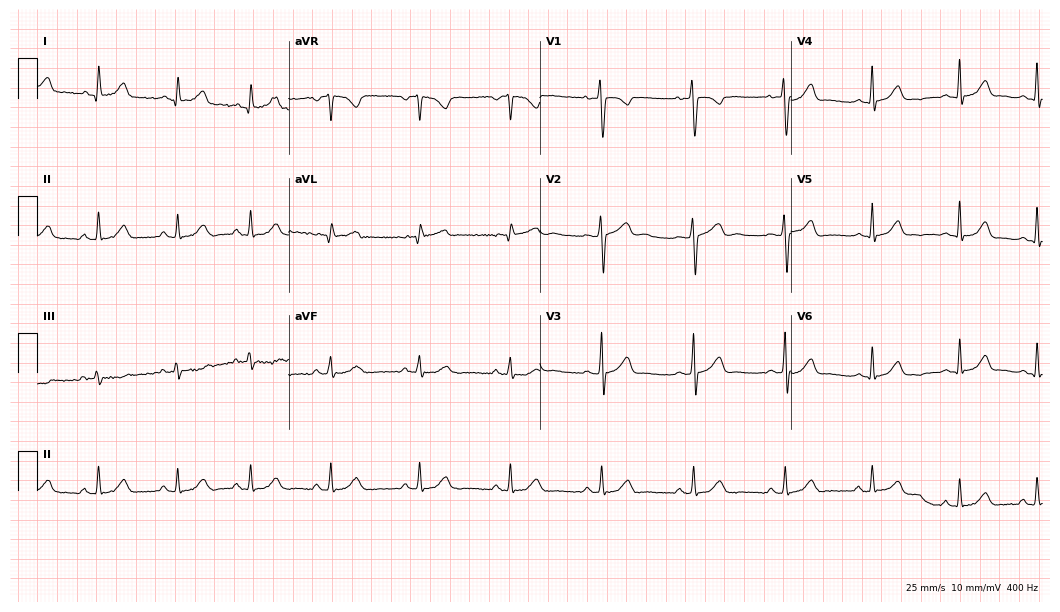
ECG (10.2-second recording at 400 Hz) — a woman, 25 years old. Screened for six findings — first-degree AV block, right bundle branch block, left bundle branch block, sinus bradycardia, atrial fibrillation, sinus tachycardia — none is recorded. Findings outside these six are not listed.